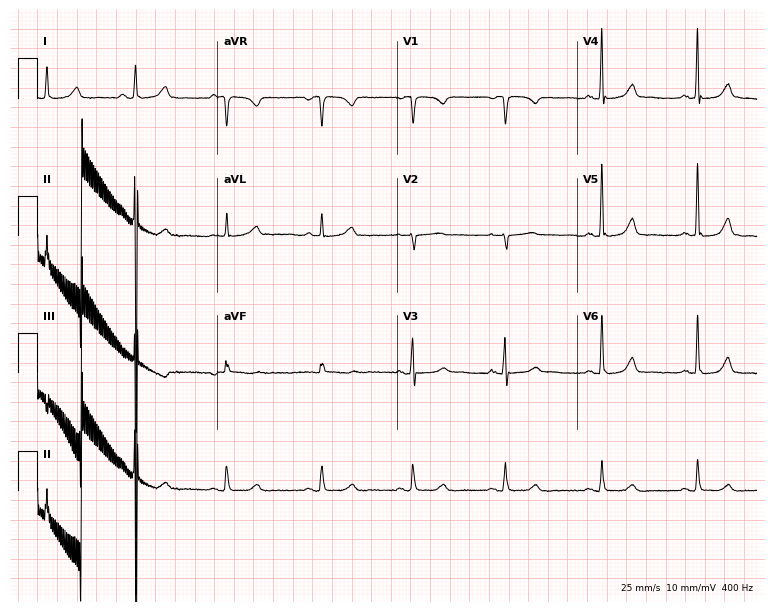
Resting 12-lead electrocardiogram. Patient: a 48-year-old female. None of these six findings is recorded: first-degree AV block, right bundle branch block, left bundle branch block, sinus bradycardia, atrial fibrillation, sinus tachycardia.